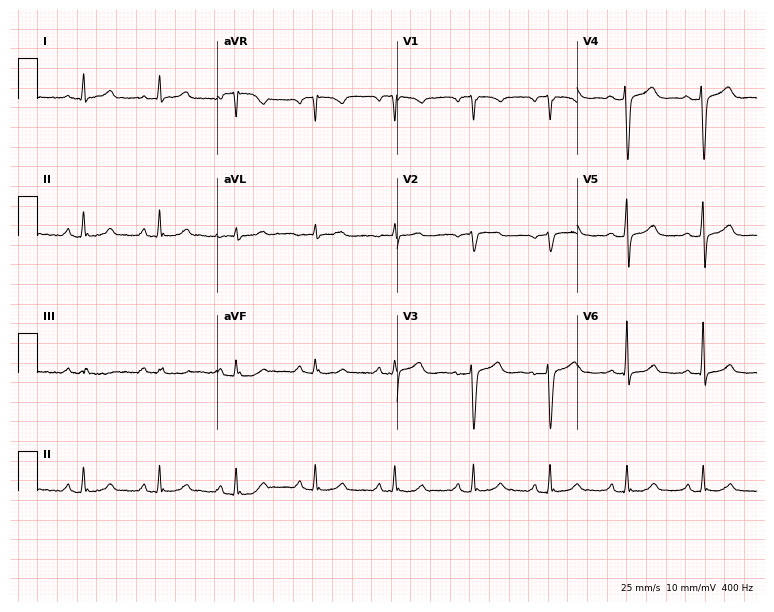
Standard 12-lead ECG recorded from a woman, 48 years old. Read as a normal ECG.